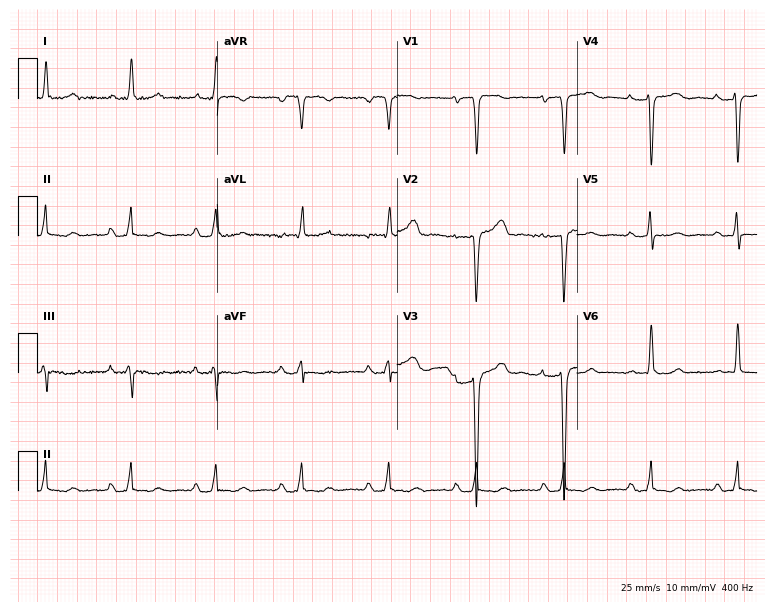
ECG (7.3-second recording at 400 Hz) — a 70-year-old female patient. Screened for six findings — first-degree AV block, right bundle branch block, left bundle branch block, sinus bradycardia, atrial fibrillation, sinus tachycardia — none is recorded.